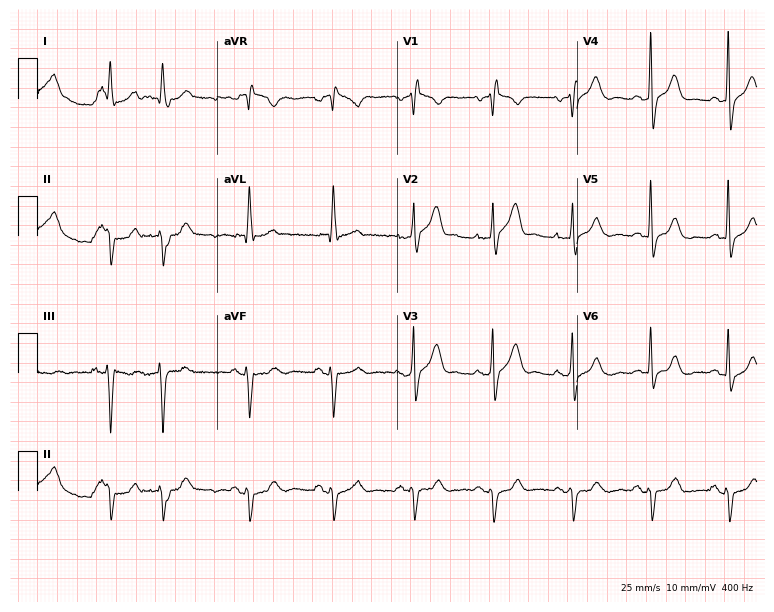
12-lead ECG from a man, 71 years old (7.3-second recording at 400 Hz). Recorded interpretation: within normal limits.